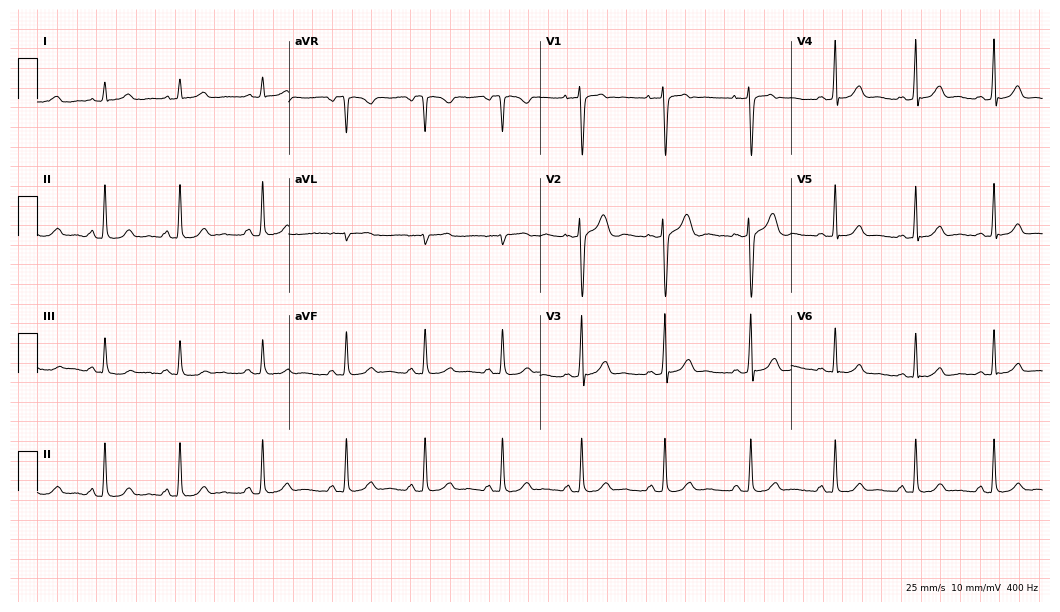
12-lead ECG from a female, 22 years old (10.2-second recording at 400 Hz). Recorded interpretation: within normal limits.